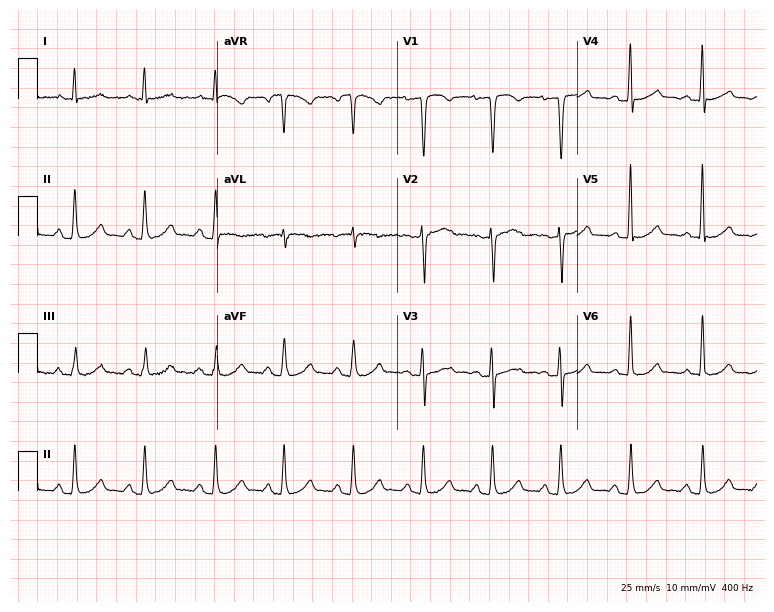
12-lead ECG from a 52-year-old woman. Recorded interpretation: within normal limits.